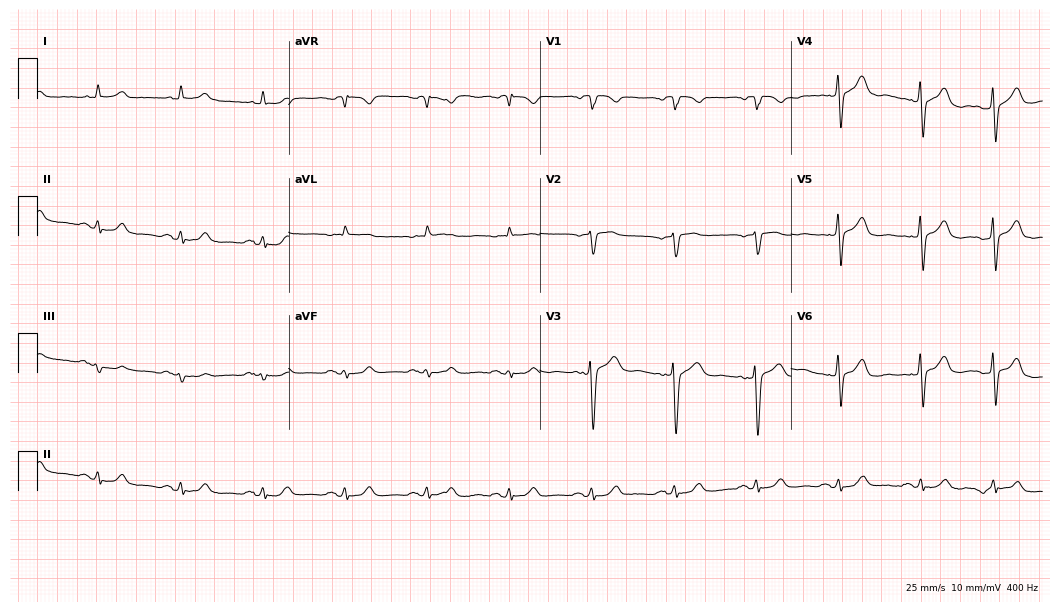
12-lead ECG from an 82-year-old man (10.2-second recording at 400 Hz). No first-degree AV block, right bundle branch block, left bundle branch block, sinus bradycardia, atrial fibrillation or sinus tachycardia recorded for this tracing.